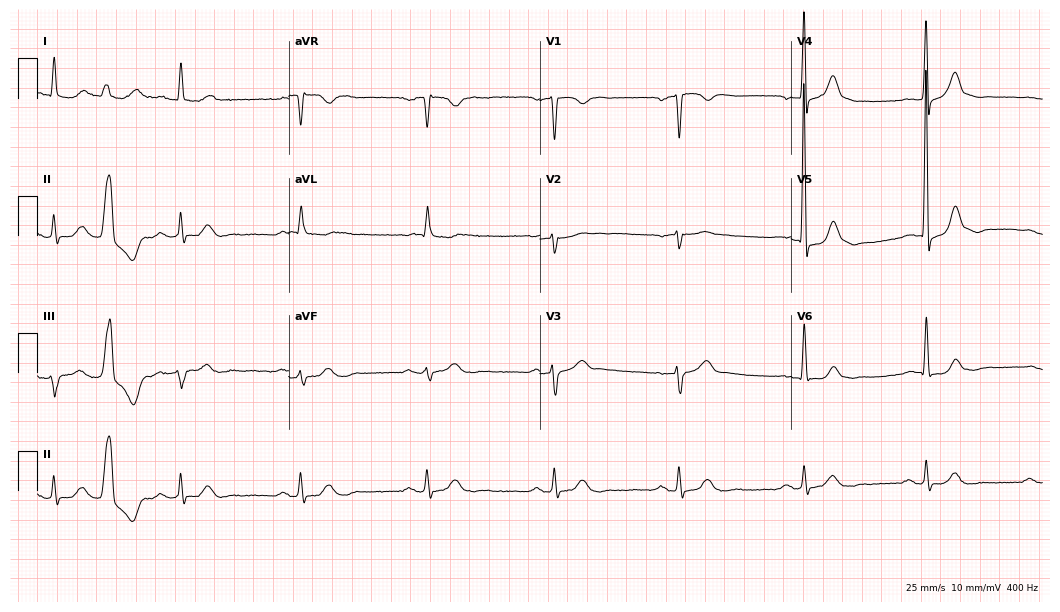
12-lead ECG from a 71-year-old male patient (10.2-second recording at 400 Hz). Recorded interpretation: within normal limits.